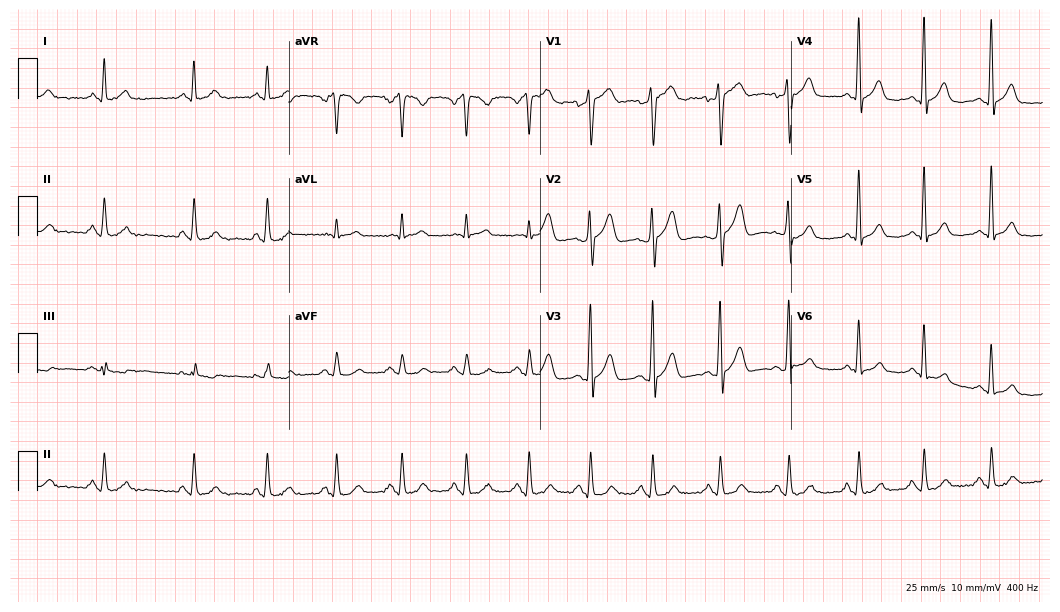
Electrocardiogram, a male, 47 years old. Overall reading on record: normal ECG.